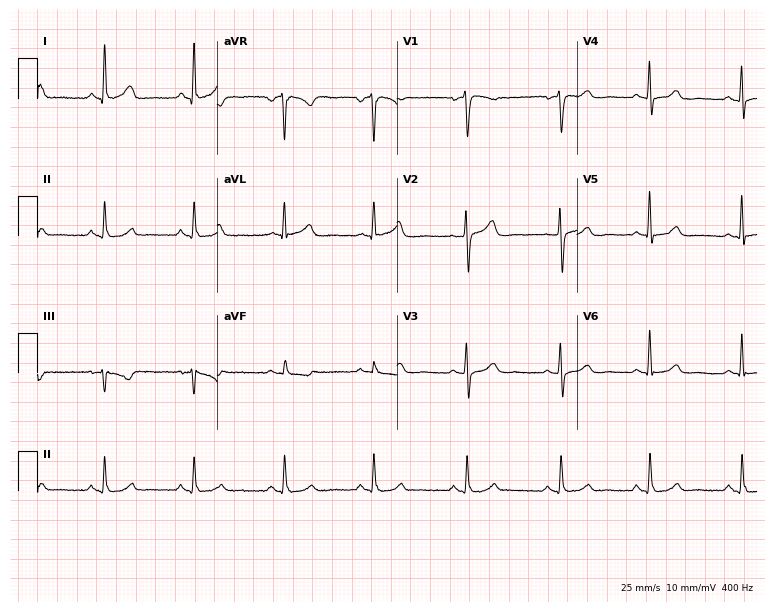
Resting 12-lead electrocardiogram. Patient: a 62-year-old woman. Read as a normal ECG.